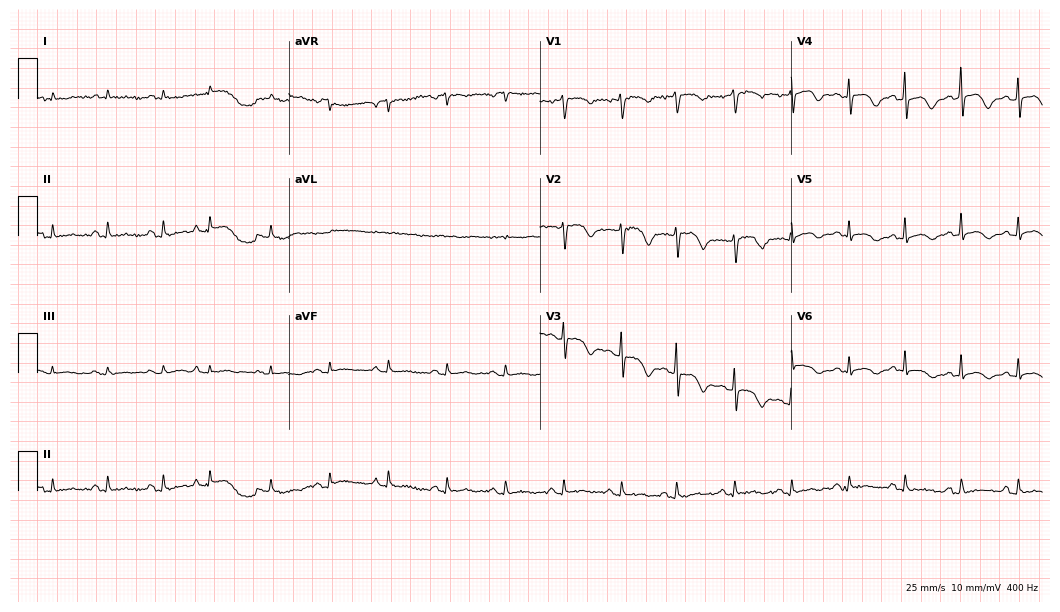
Resting 12-lead electrocardiogram. Patient: a 76-year-old female. None of these six findings is recorded: first-degree AV block, right bundle branch block, left bundle branch block, sinus bradycardia, atrial fibrillation, sinus tachycardia.